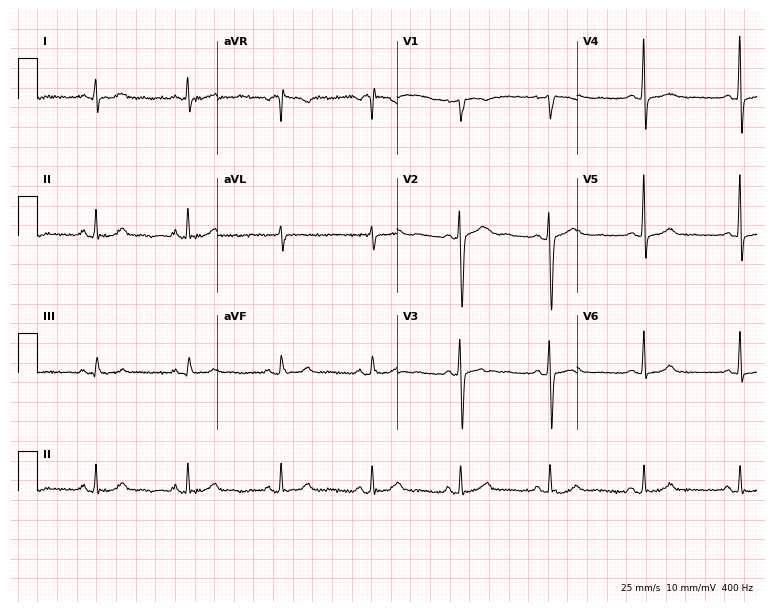
Standard 12-lead ECG recorded from a 47-year-old female. None of these six findings is recorded: first-degree AV block, right bundle branch block (RBBB), left bundle branch block (LBBB), sinus bradycardia, atrial fibrillation (AF), sinus tachycardia.